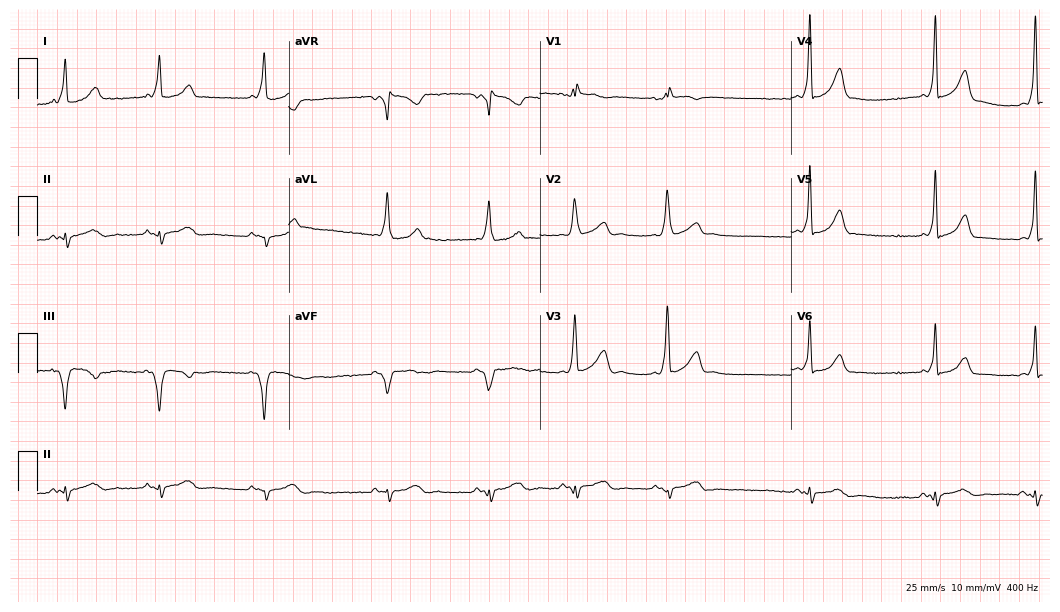
12-lead ECG (10.2-second recording at 400 Hz) from a 32-year-old female patient. Screened for six findings — first-degree AV block, right bundle branch block, left bundle branch block, sinus bradycardia, atrial fibrillation, sinus tachycardia — none is recorded.